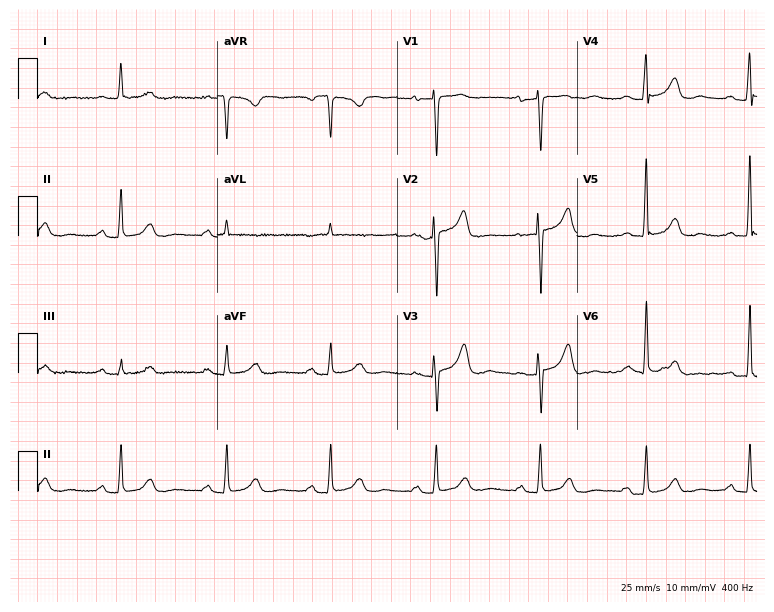
Resting 12-lead electrocardiogram (7.3-second recording at 400 Hz). Patient: a 76-year-old female. The tracing shows first-degree AV block.